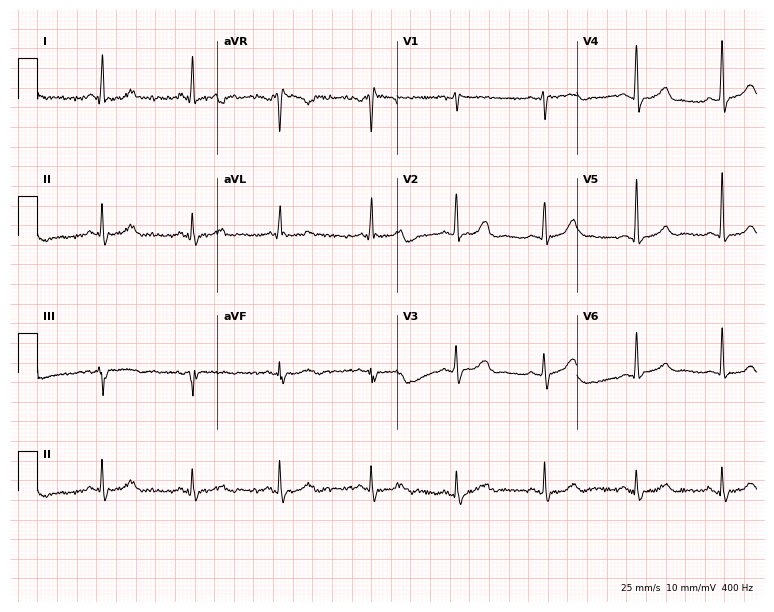
Electrocardiogram, a 46-year-old female. Of the six screened findings (first-degree AV block, right bundle branch block, left bundle branch block, sinus bradycardia, atrial fibrillation, sinus tachycardia), none is recorded.